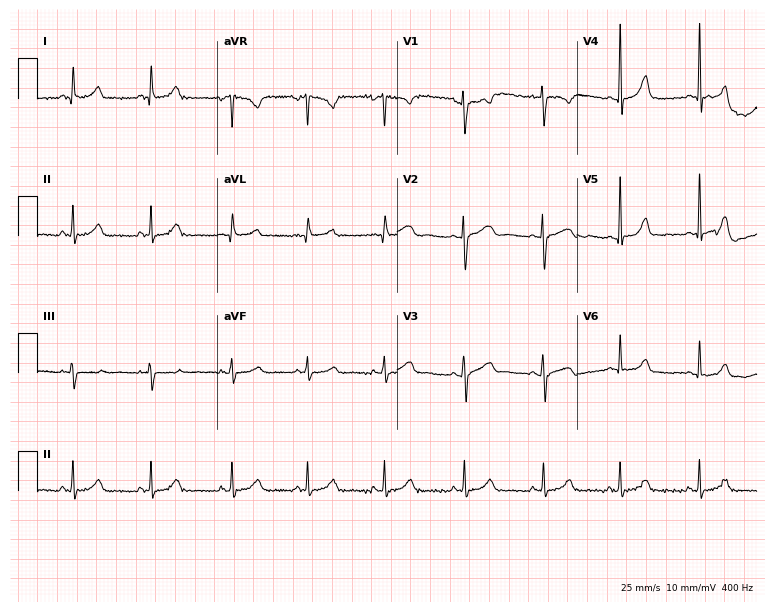
Standard 12-lead ECG recorded from a 32-year-old female (7.3-second recording at 400 Hz). None of these six findings is recorded: first-degree AV block, right bundle branch block (RBBB), left bundle branch block (LBBB), sinus bradycardia, atrial fibrillation (AF), sinus tachycardia.